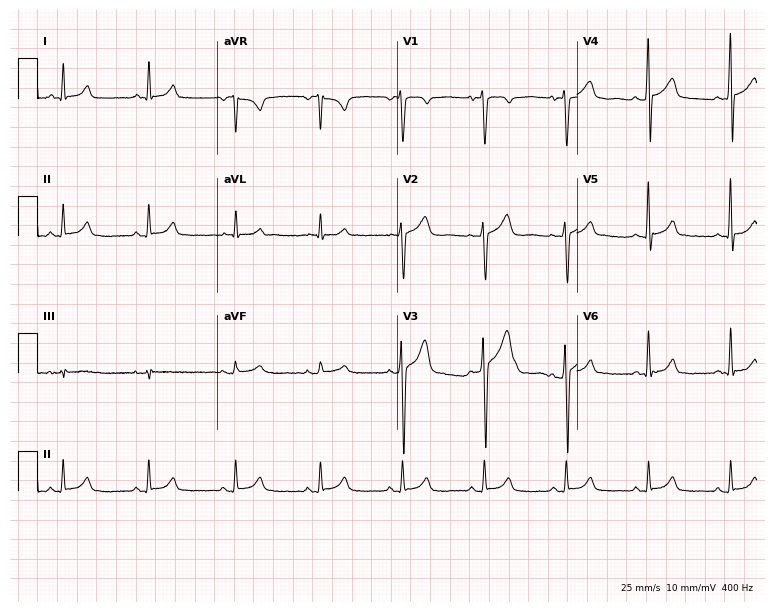
Electrocardiogram, a 39-year-old man. Overall reading on record: normal ECG.